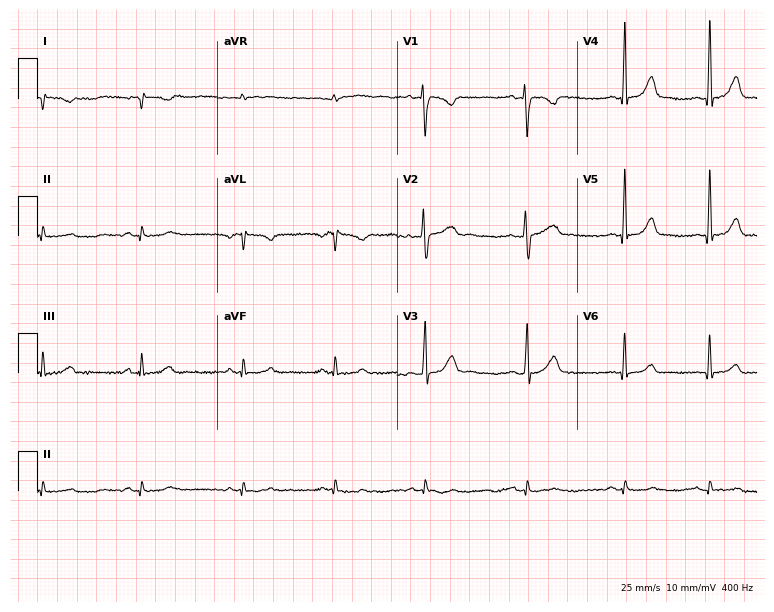
ECG — a 33-year-old female patient. Screened for six findings — first-degree AV block, right bundle branch block (RBBB), left bundle branch block (LBBB), sinus bradycardia, atrial fibrillation (AF), sinus tachycardia — none is recorded. Findings outside these six are not listed.